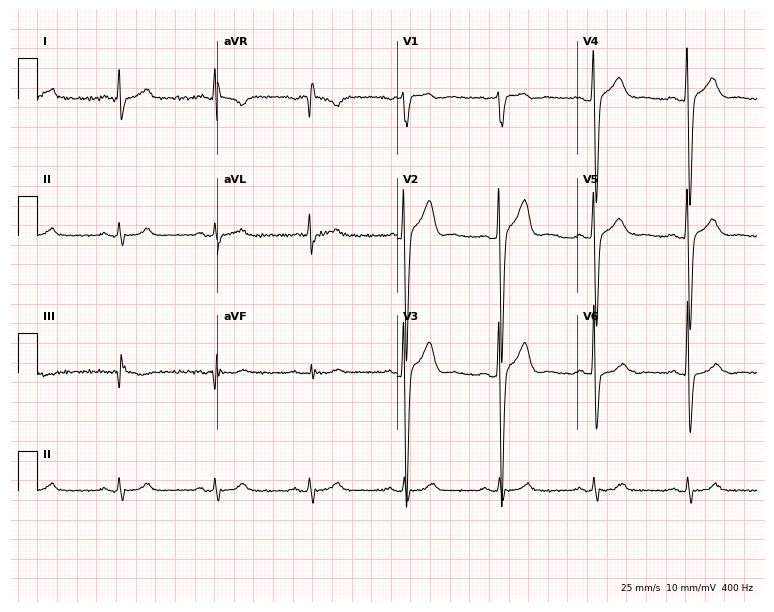
Resting 12-lead electrocardiogram. Patient: a 48-year-old male. Read as a normal ECG.